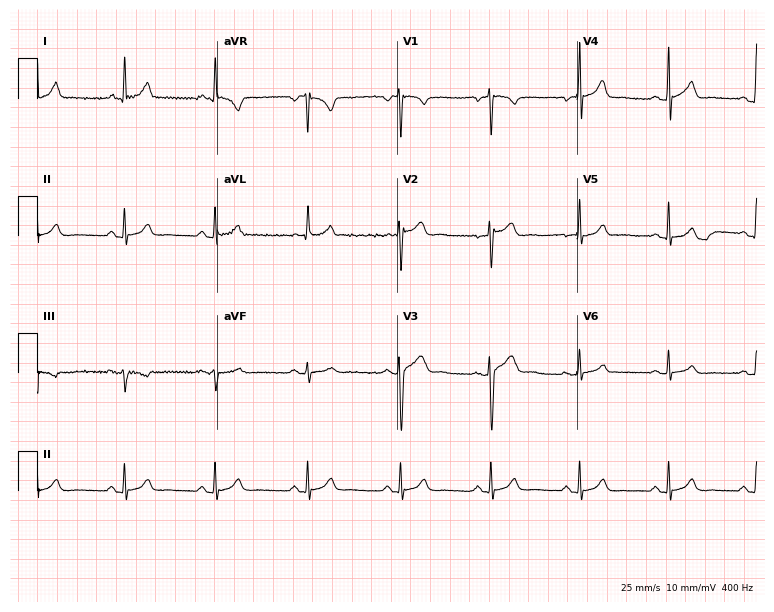
Resting 12-lead electrocardiogram. Patient: a male, 47 years old. Read as a normal ECG.